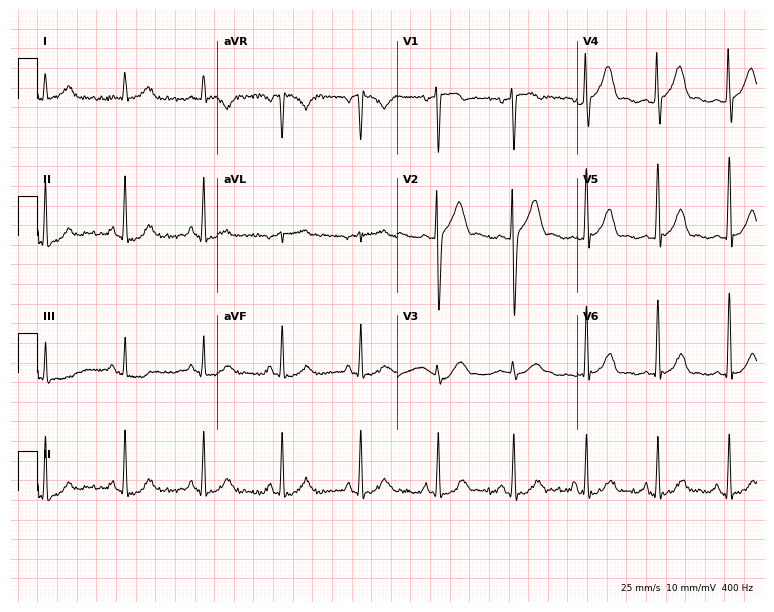
Standard 12-lead ECG recorded from a 36-year-old male patient. Read as a normal ECG.